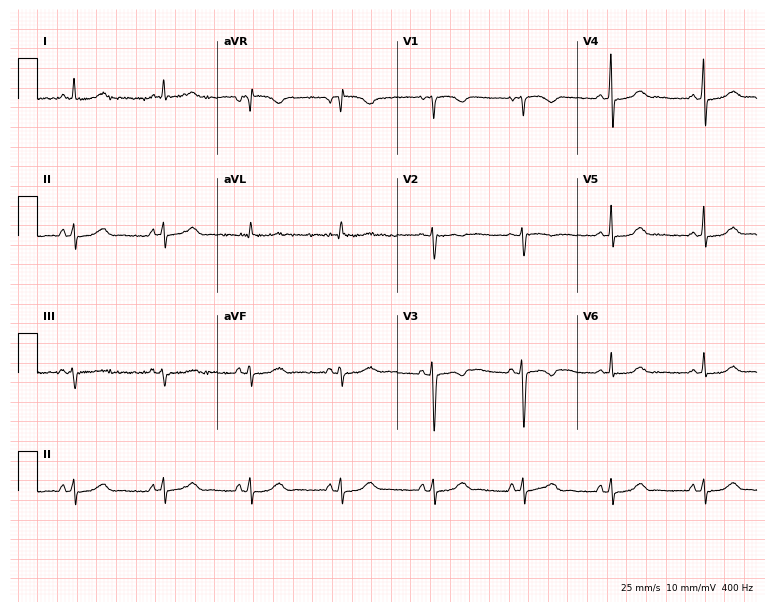
Resting 12-lead electrocardiogram (7.3-second recording at 400 Hz). Patient: a 35-year-old female. None of these six findings is recorded: first-degree AV block, right bundle branch block, left bundle branch block, sinus bradycardia, atrial fibrillation, sinus tachycardia. Only these six findings were labelled.